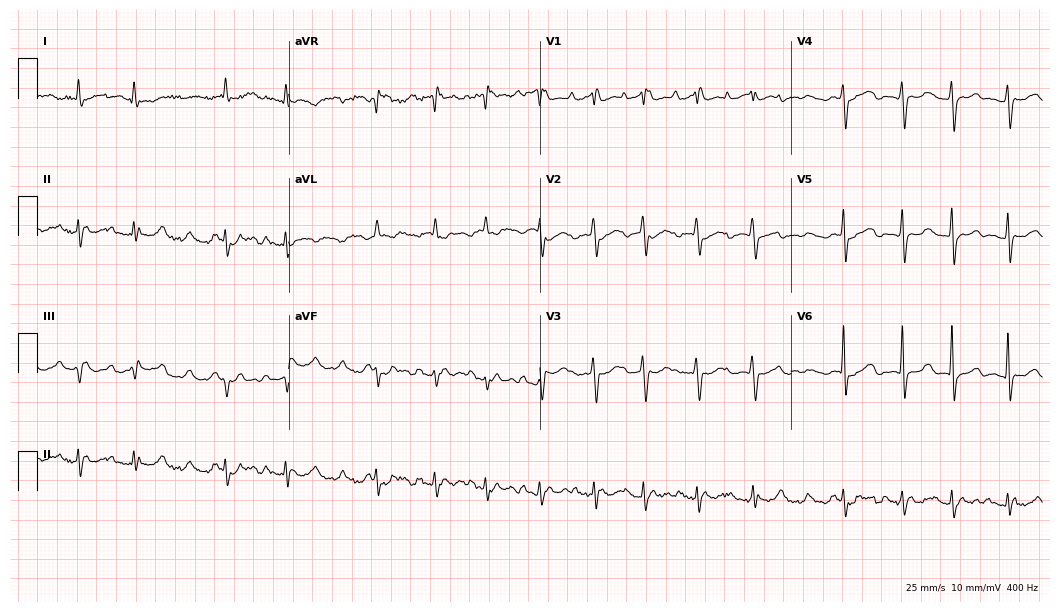
Standard 12-lead ECG recorded from a 73-year-old woman (10.2-second recording at 400 Hz). The tracing shows atrial fibrillation.